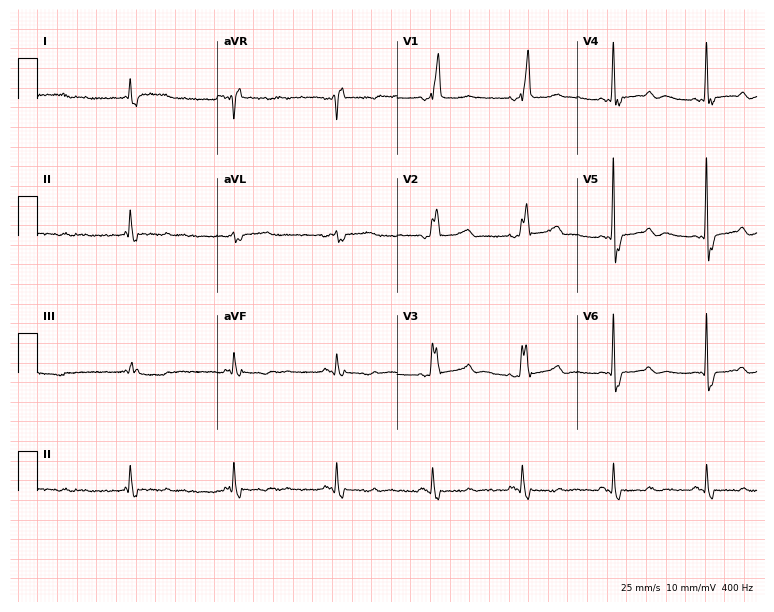
Resting 12-lead electrocardiogram (7.3-second recording at 400 Hz). Patient: a man, 81 years old. The tracing shows right bundle branch block.